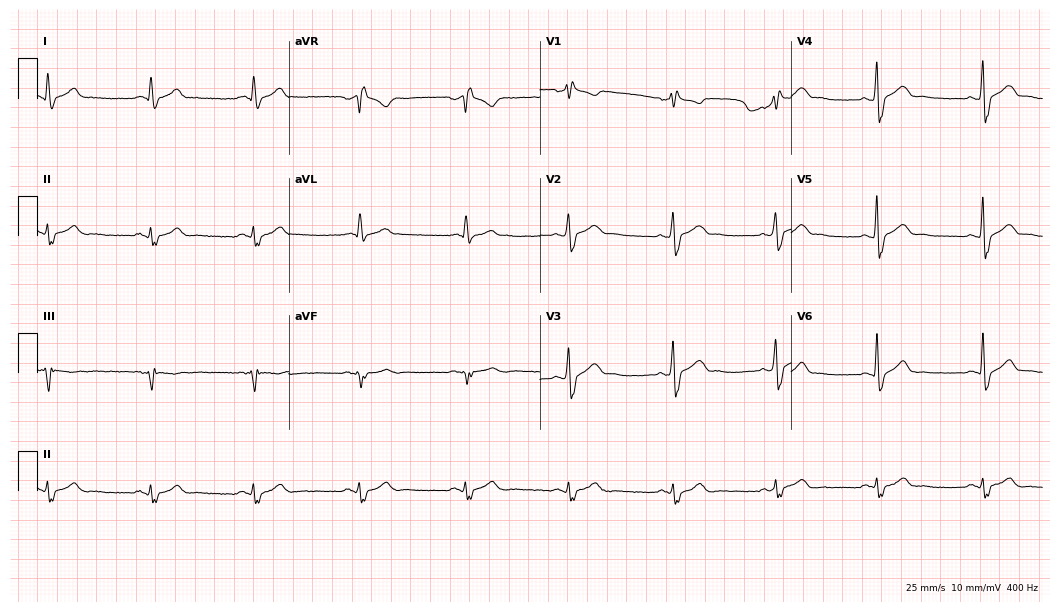
Resting 12-lead electrocardiogram. Patient: a male, 41 years old. The tracing shows right bundle branch block (RBBB).